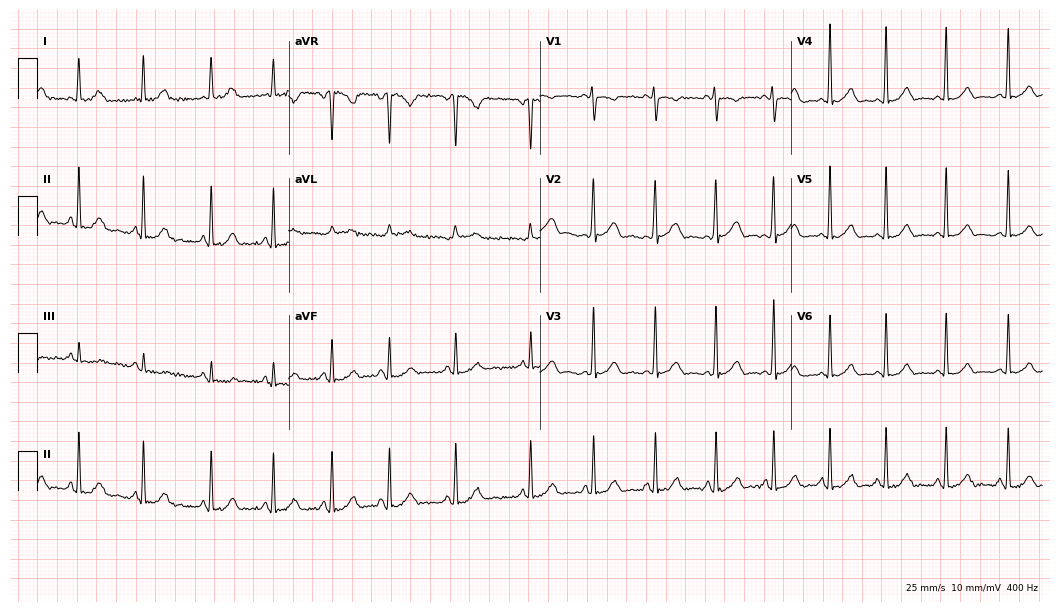
12-lead ECG (10.2-second recording at 400 Hz) from a female, 26 years old. Labelled as a normal ECG.